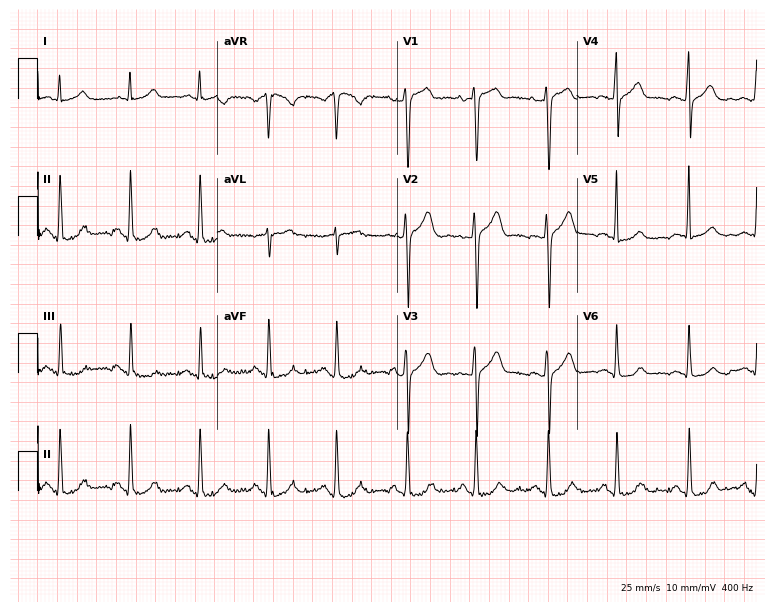
12-lead ECG from a male, 26 years old. Recorded interpretation: within normal limits.